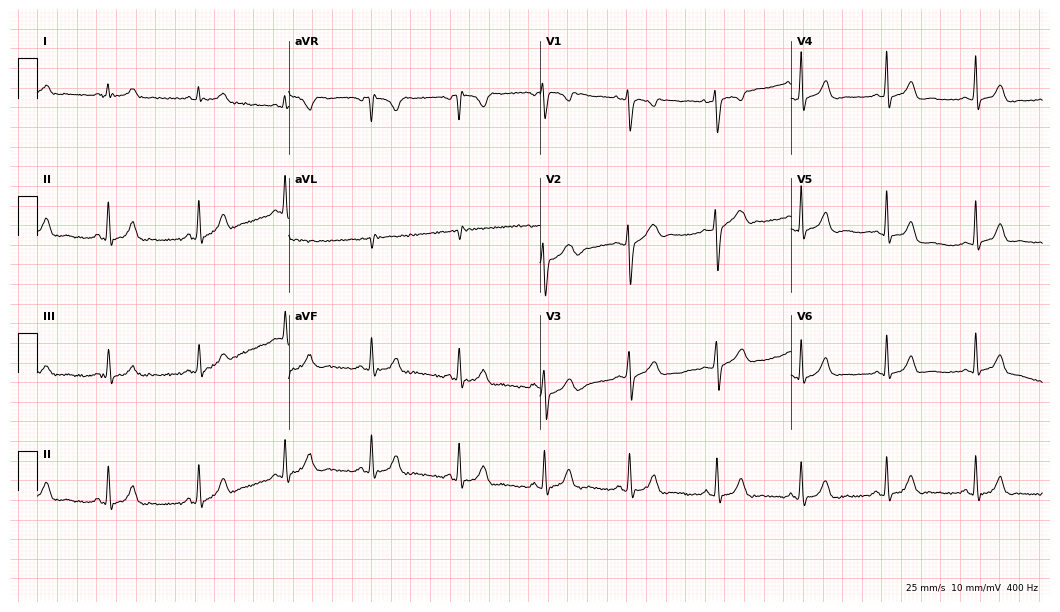
Electrocardiogram, a female, 23 years old. Overall reading on record: normal ECG.